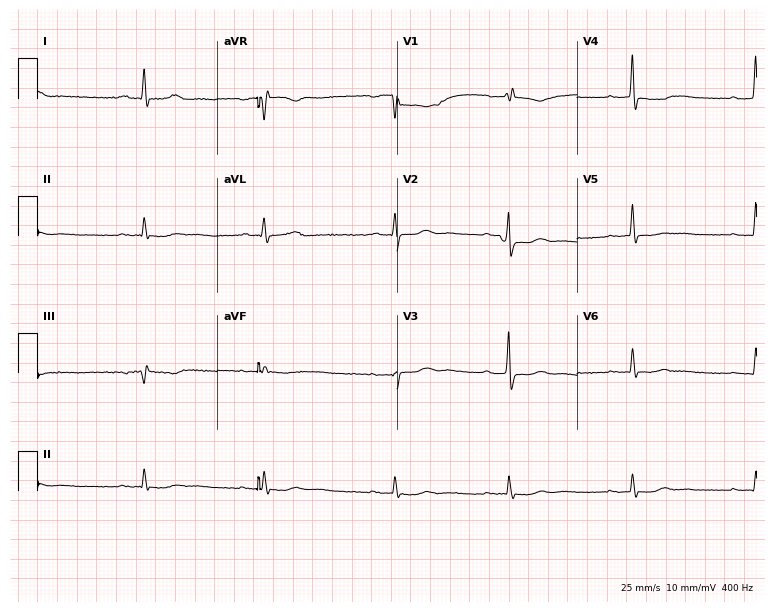
Resting 12-lead electrocardiogram. Patient: a woman, 61 years old. The tracing shows first-degree AV block.